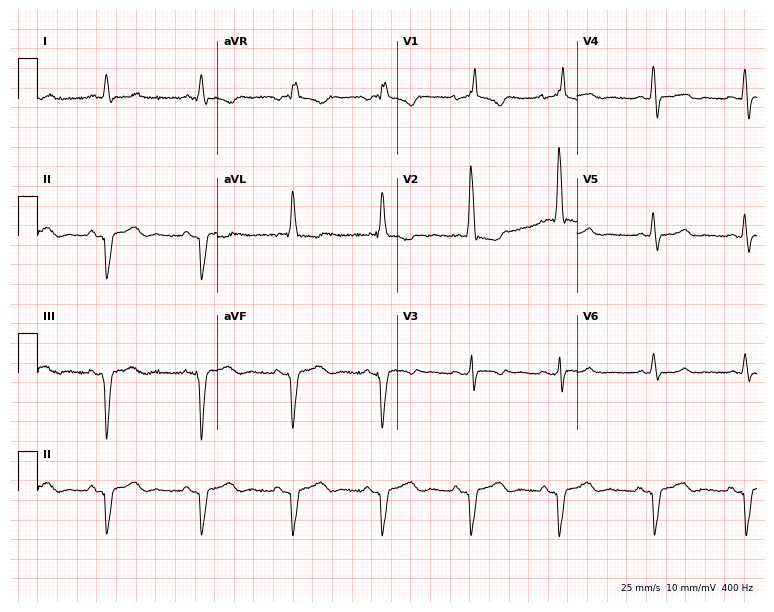
Standard 12-lead ECG recorded from a woman, 41 years old (7.3-second recording at 400 Hz). The tracing shows right bundle branch block (RBBB).